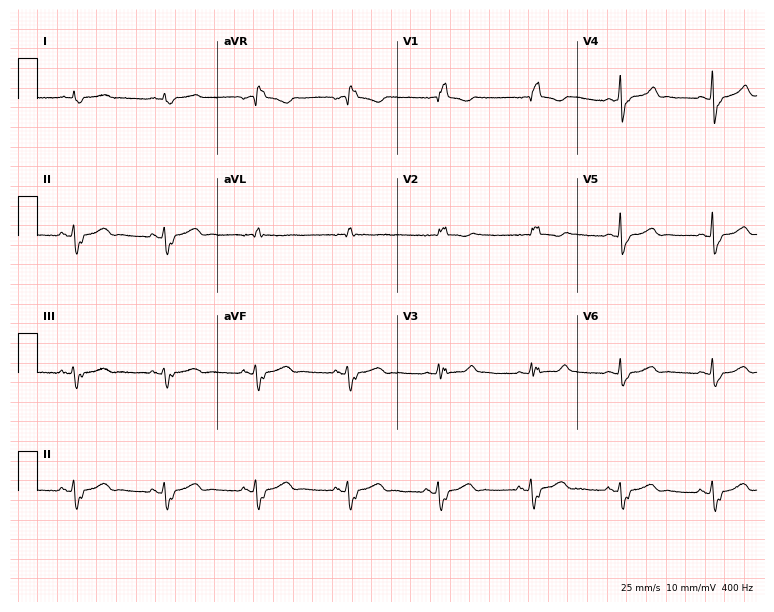
Resting 12-lead electrocardiogram (7.3-second recording at 400 Hz). Patient: a woman, 80 years old. The tracing shows right bundle branch block.